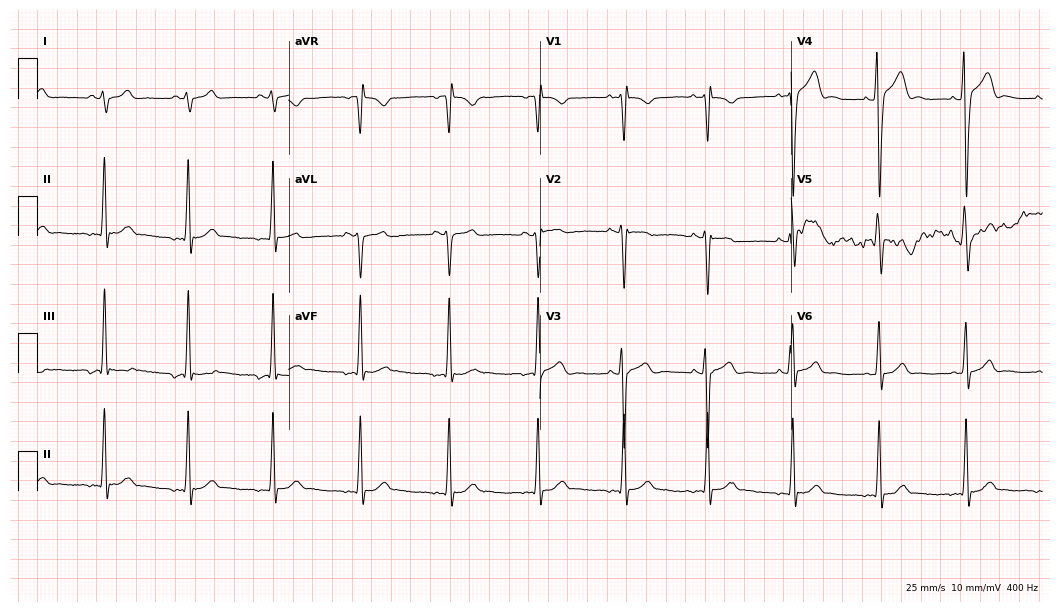
Standard 12-lead ECG recorded from a man, 17 years old. None of these six findings is recorded: first-degree AV block, right bundle branch block, left bundle branch block, sinus bradycardia, atrial fibrillation, sinus tachycardia.